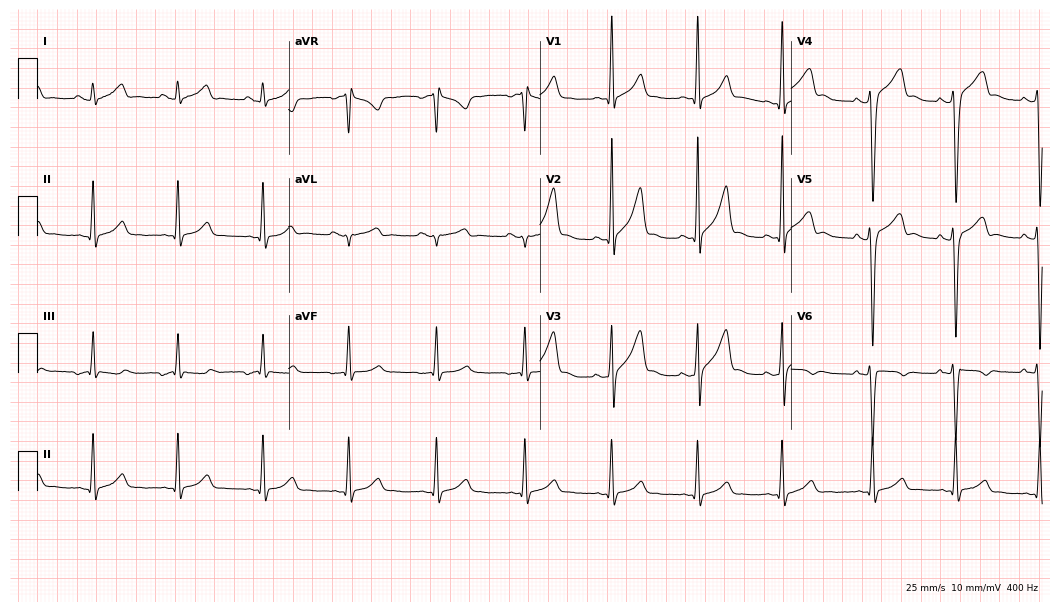
Electrocardiogram (10.2-second recording at 400 Hz), a male patient, 22 years old. Of the six screened findings (first-degree AV block, right bundle branch block, left bundle branch block, sinus bradycardia, atrial fibrillation, sinus tachycardia), none is recorded. Only these six findings were labelled.